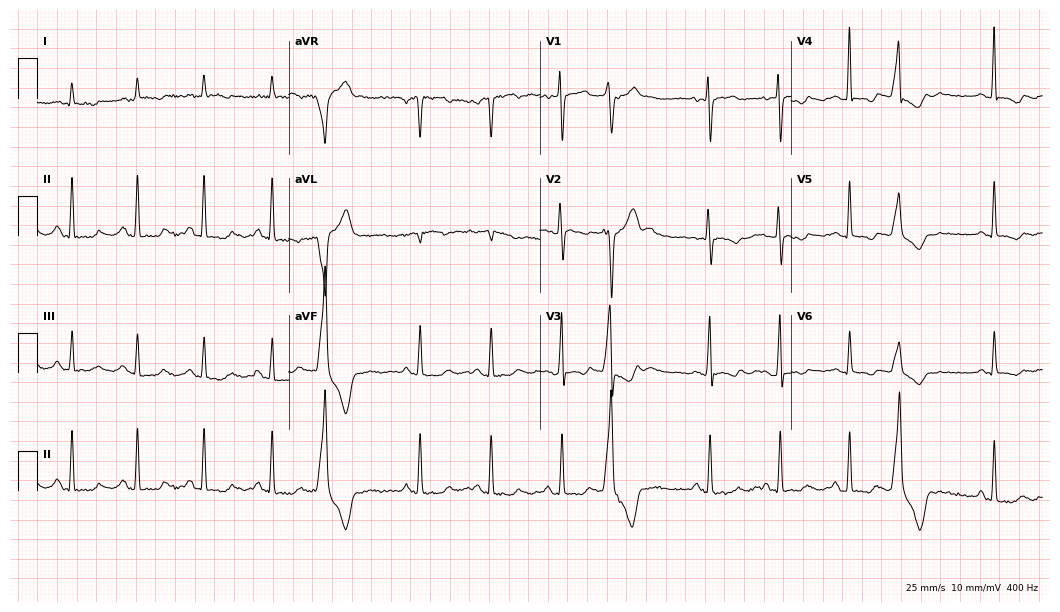
Resting 12-lead electrocardiogram. Patient: a female, 48 years old. None of these six findings is recorded: first-degree AV block, right bundle branch block, left bundle branch block, sinus bradycardia, atrial fibrillation, sinus tachycardia. Findings outside these six are not listed.